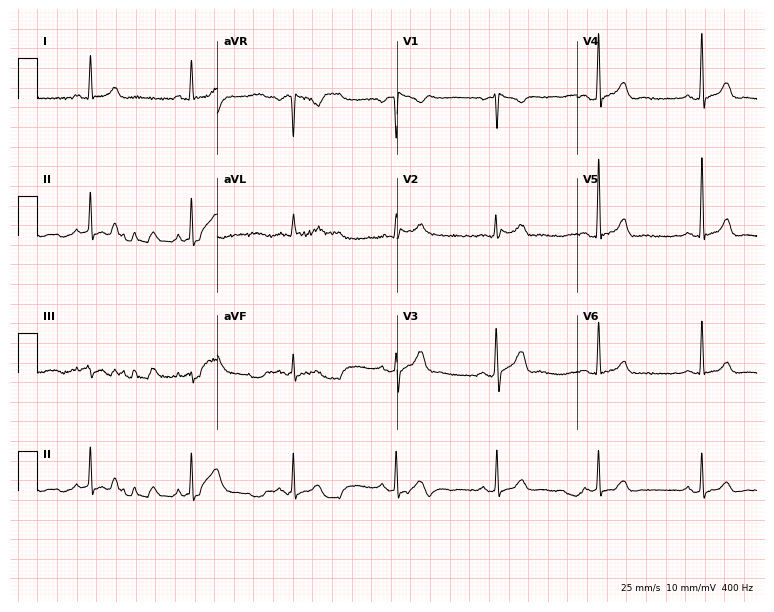
Electrocardiogram, a man, 56 years old. Overall reading on record: normal ECG.